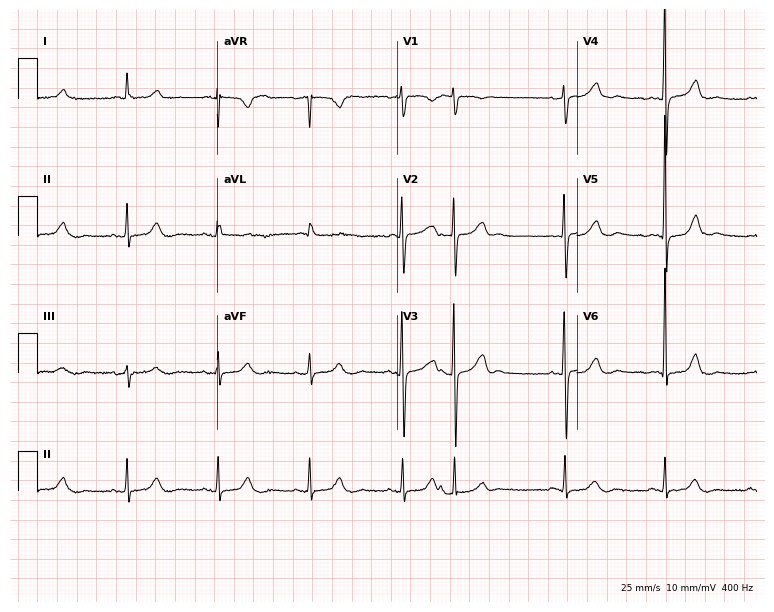
Electrocardiogram, a 68-year-old woman. Of the six screened findings (first-degree AV block, right bundle branch block, left bundle branch block, sinus bradycardia, atrial fibrillation, sinus tachycardia), none is recorded. Only these six findings were labelled.